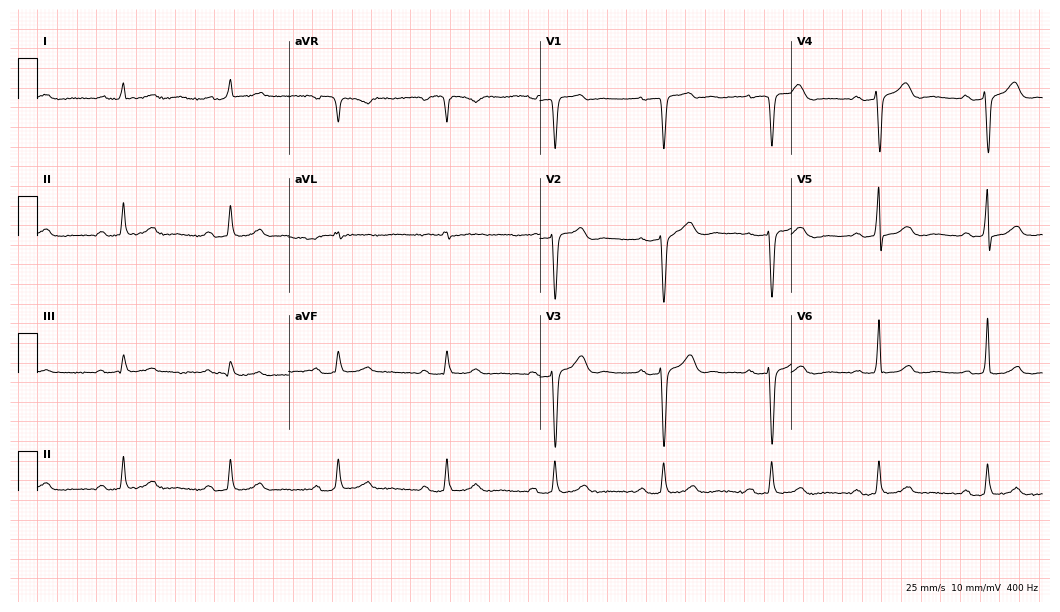
Electrocardiogram, a male patient, 67 years old. Of the six screened findings (first-degree AV block, right bundle branch block, left bundle branch block, sinus bradycardia, atrial fibrillation, sinus tachycardia), none is recorded.